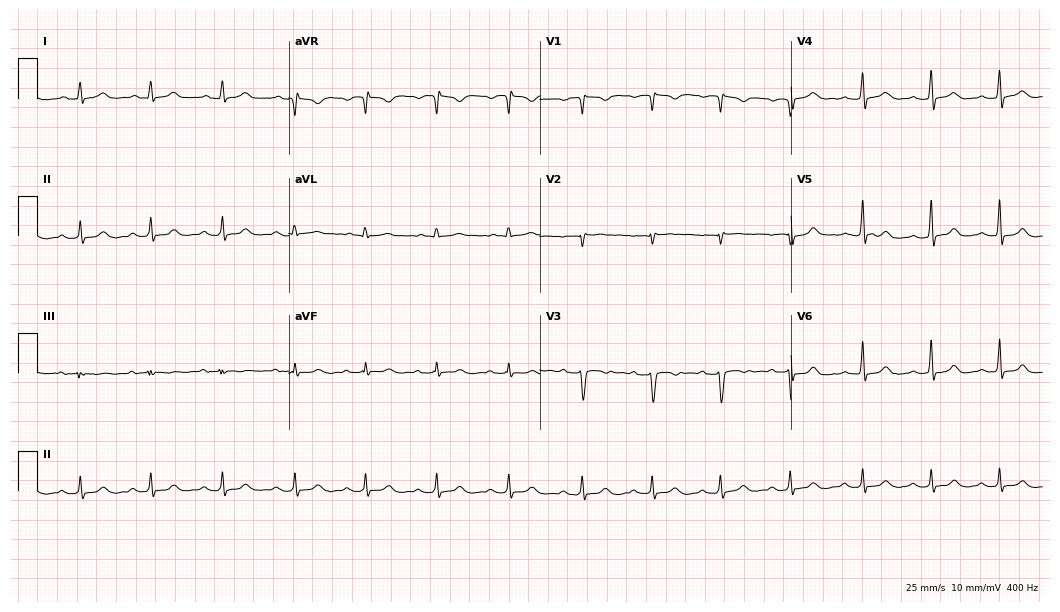
12-lead ECG (10.2-second recording at 400 Hz) from a woman, 19 years old. Labelled as a normal ECG.